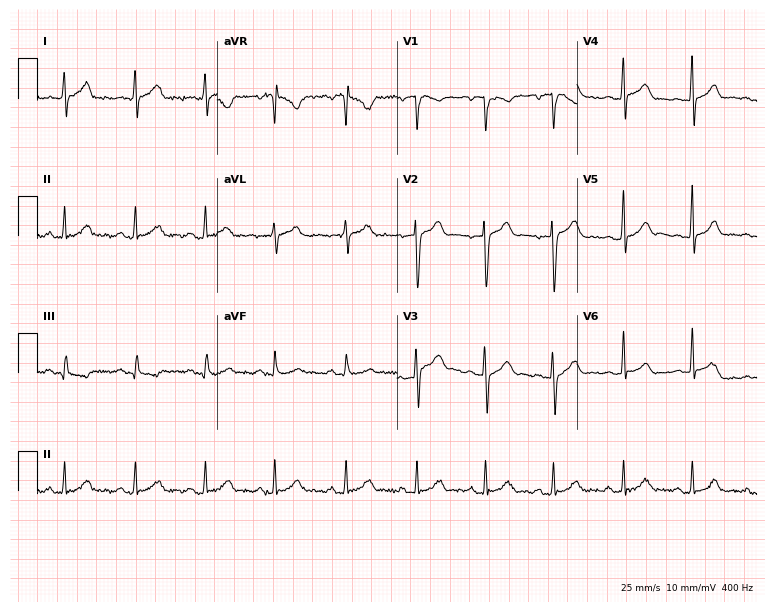
12-lead ECG from a 36-year-old male (7.3-second recording at 400 Hz). Recorded interpretation: within normal limits.